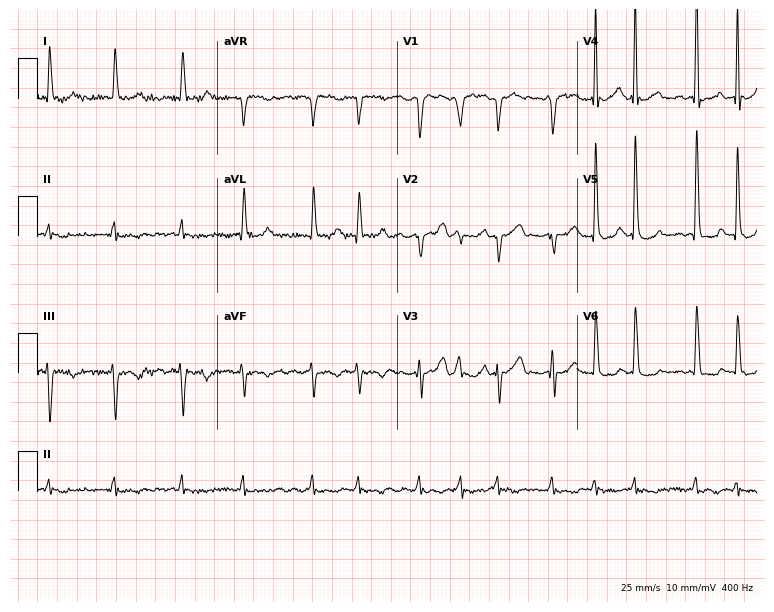
12-lead ECG from a man, 76 years old. Findings include atrial fibrillation.